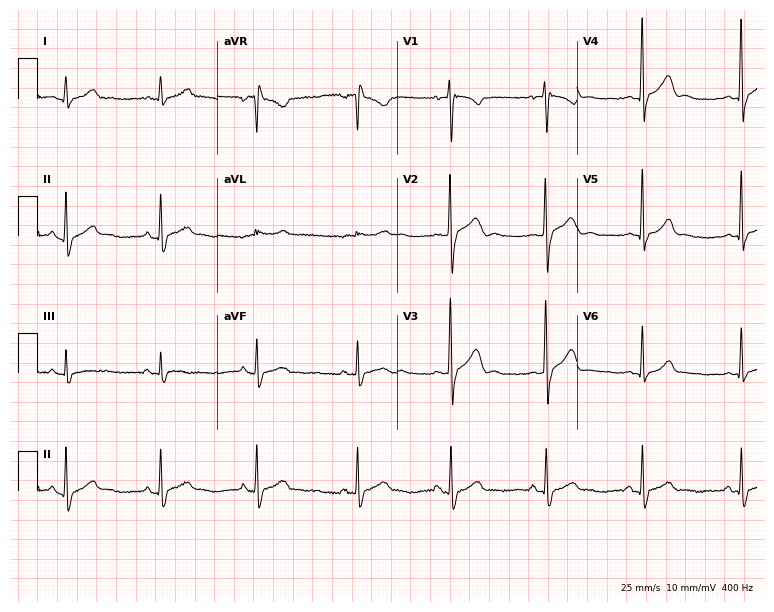
12-lead ECG from a man, 23 years old. Labelled as a normal ECG.